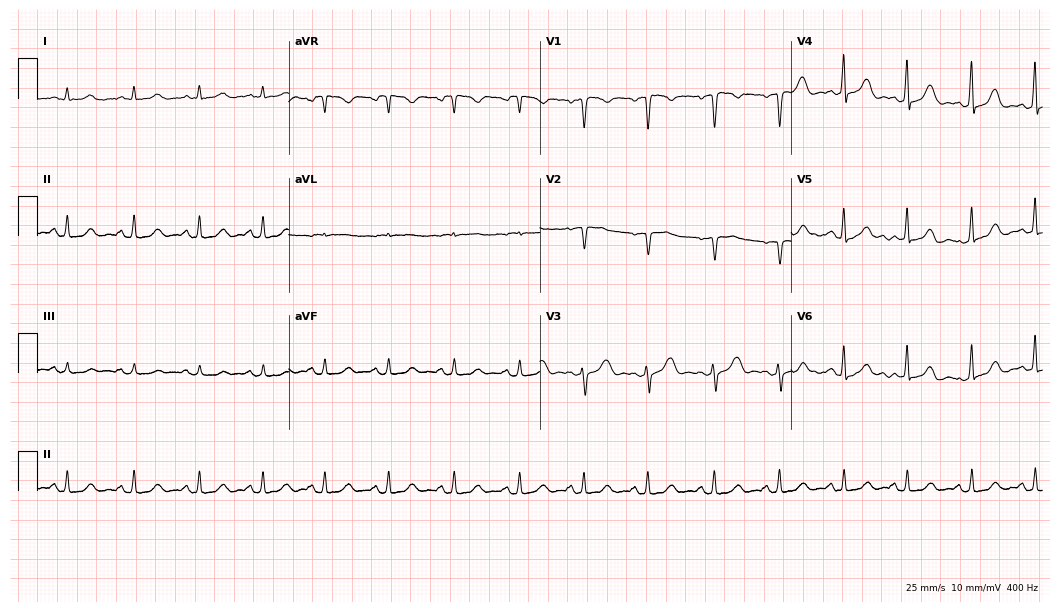
Electrocardiogram, a man, 51 years old. Of the six screened findings (first-degree AV block, right bundle branch block, left bundle branch block, sinus bradycardia, atrial fibrillation, sinus tachycardia), none is recorded. Only these six findings were labelled.